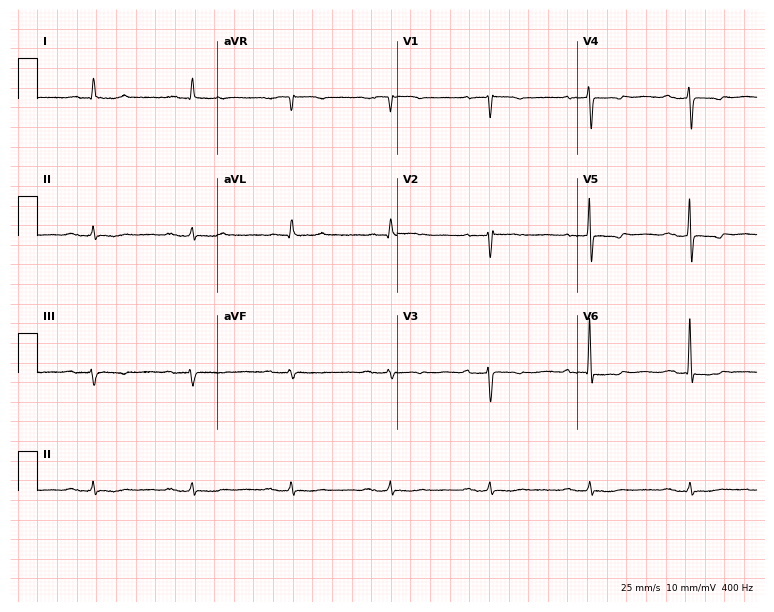
Resting 12-lead electrocardiogram. Patient: a 71-year-old woman. None of these six findings is recorded: first-degree AV block, right bundle branch block, left bundle branch block, sinus bradycardia, atrial fibrillation, sinus tachycardia.